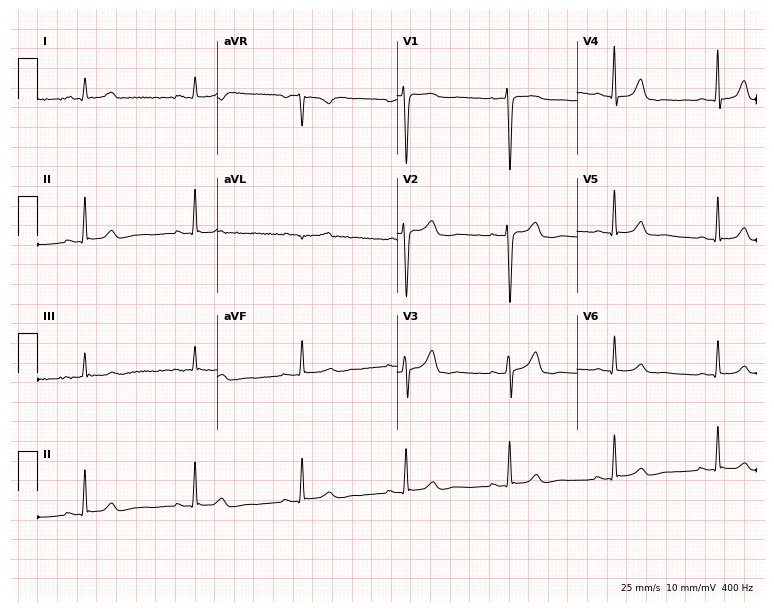
ECG (7.3-second recording at 400 Hz) — a woman, 26 years old. Screened for six findings — first-degree AV block, right bundle branch block, left bundle branch block, sinus bradycardia, atrial fibrillation, sinus tachycardia — none is recorded.